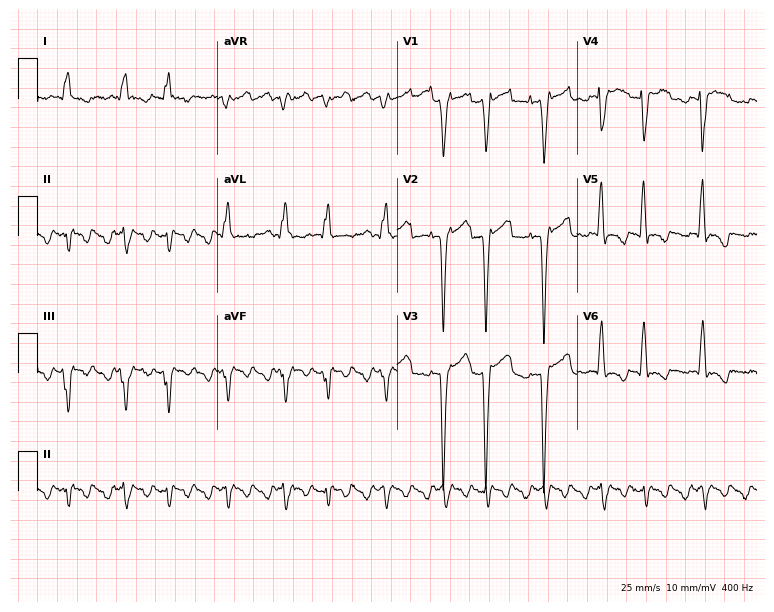
Electrocardiogram (7.3-second recording at 400 Hz), a 62-year-old man. Of the six screened findings (first-degree AV block, right bundle branch block (RBBB), left bundle branch block (LBBB), sinus bradycardia, atrial fibrillation (AF), sinus tachycardia), none is recorded.